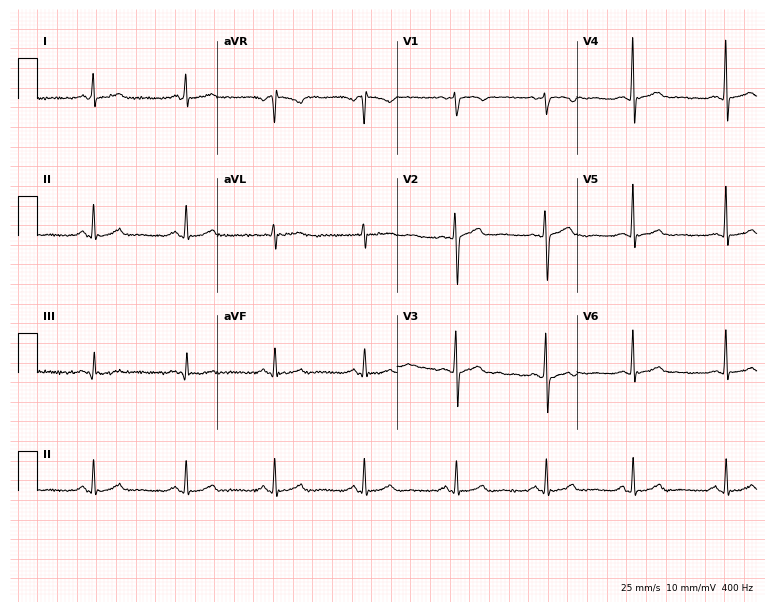
Resting 12-lead electrocardiogram. Patient: a woman, 41 years old. Read as a normal ECG.